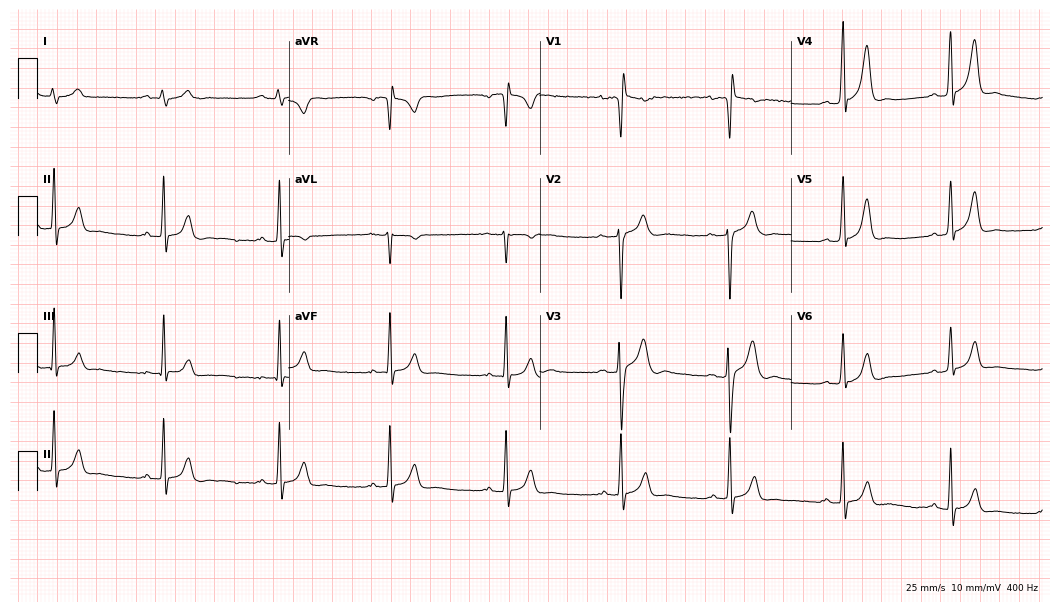
Electrocardiogram, a man, 29 years old. Of the six screened findings (first-degree AV block, right bundle branch block, left bundle branch block, sinus bradycardia, atrial fibrillation, sinus tachycardia), none is recorded. Only these six findings were labelled.